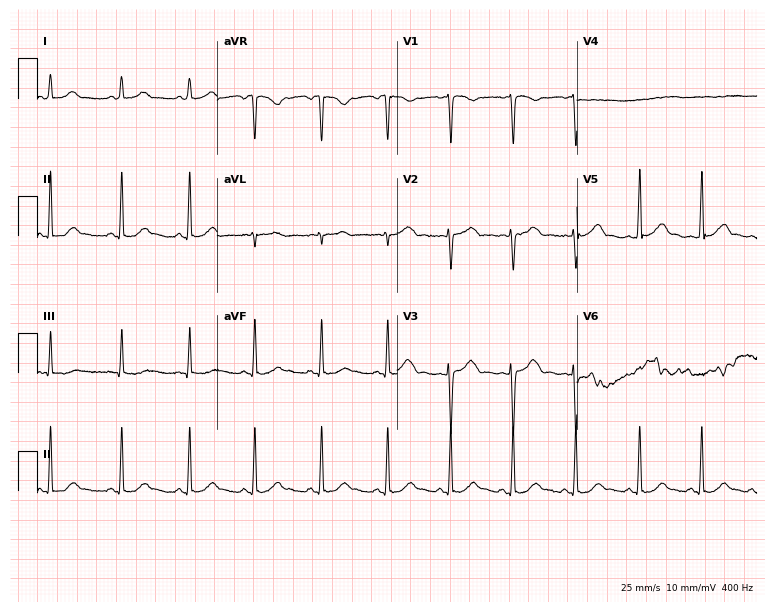
12-lead ECG from a female patient, 19 years old. Recorded interpretation: within normal limits.